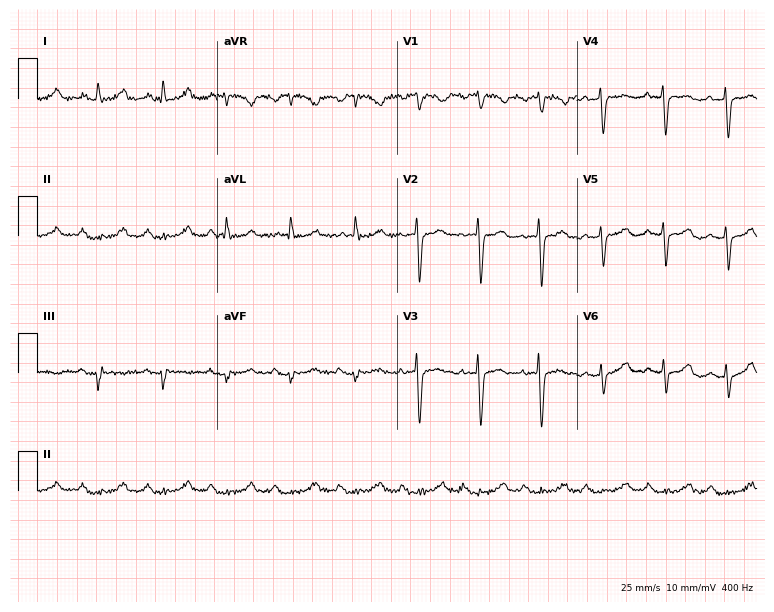
12-lead ECG from a female patient, 75 years old (7.3-second recording at 400 Hz). No first-degree AV block, right bundle branch block, left bundle branch block, sinus bradycardia, atrial fibrillation or sinus tachycardia recorded for this tracing. Findings outside these six are not listed.